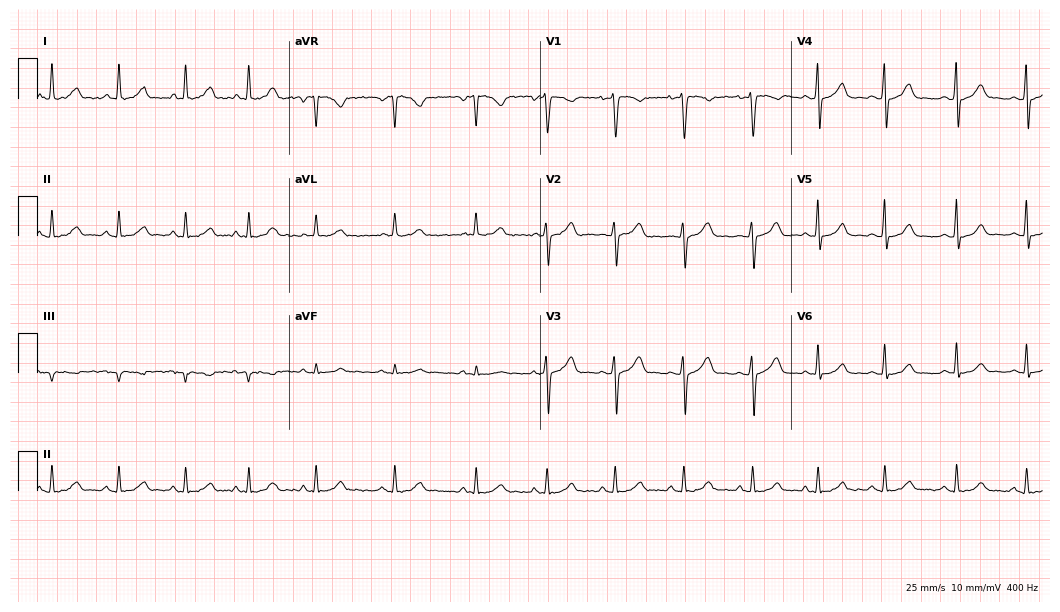
Electrocardiogram, a 34-year-old woman. Overall reading on record: normal ECG.